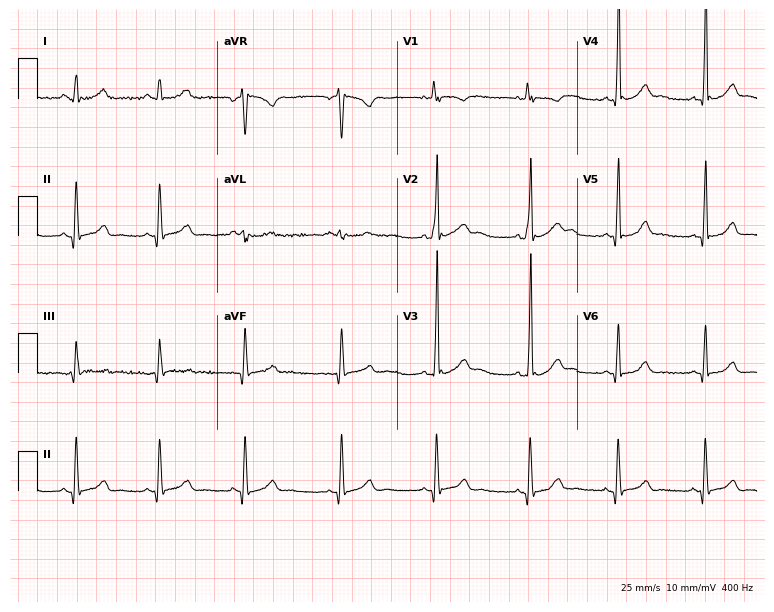
Standard 12-lead ECG recorded from a 40-year-old male (7.3-second recording at 400 Hz). None of these six findings is recorded: first-degree AV block, right bundle branch block (RBBB), left bundle branch block (LBBB), sinus bradycardia, atrial fibrillation (AF), sinus tachycardia.